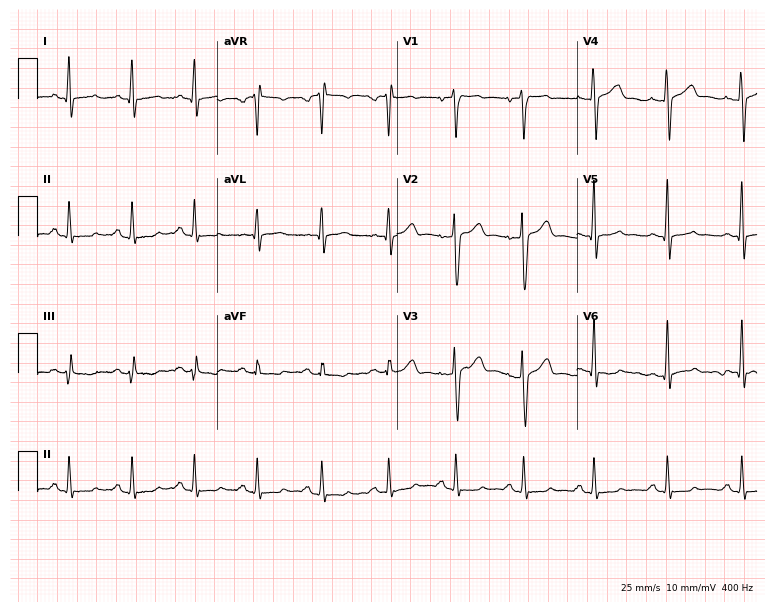
Electrocardiogram (7.3-second recording at 400 Hz), a man, 39 years old. Of the six screened findings (first-degree AV block, right bundle branch block, left bundle branch block, sinus bradycardia, atrial fibrillation, sinus tachycardia), none is recorded.